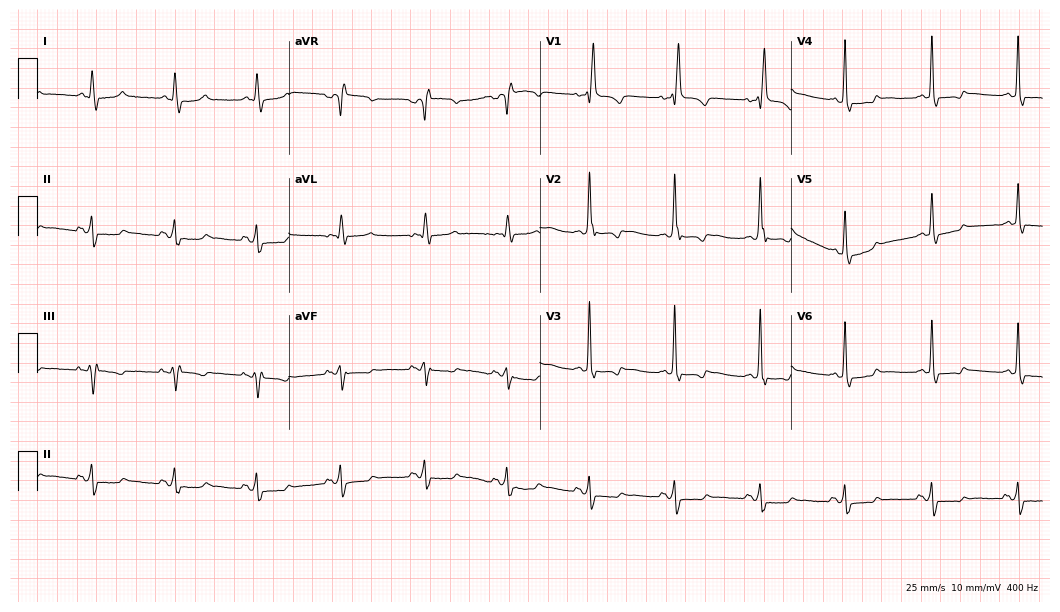
12-lead ECG from a woman, 70 years old. Findings include right bundle branch block (RBBB).